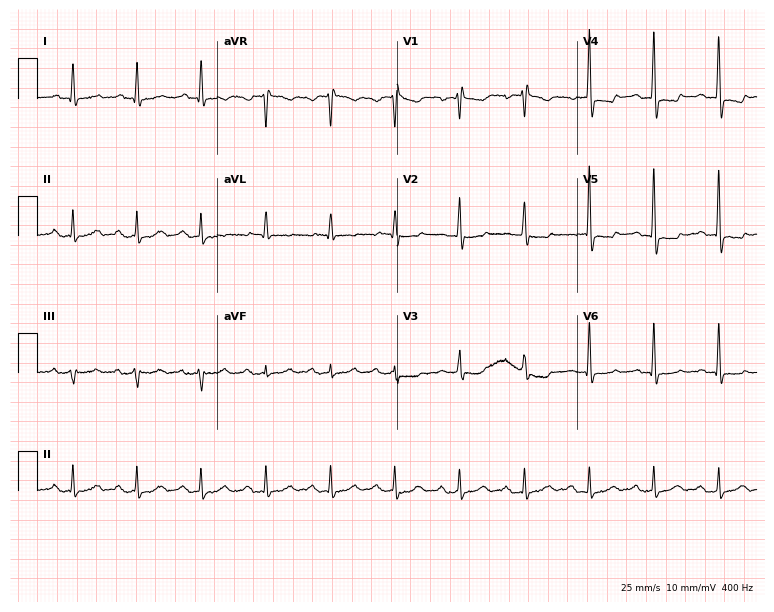
Resting 12-lead electrocardiogram (7.3-second recording at 400 Hz). Patient: a 78-year-old man. None of these six findings is recorded: first-degree AV block, right bundle branch block, left bundle branch block, sinus bradycardia, atrial fibrillation, sinus tachycardia.